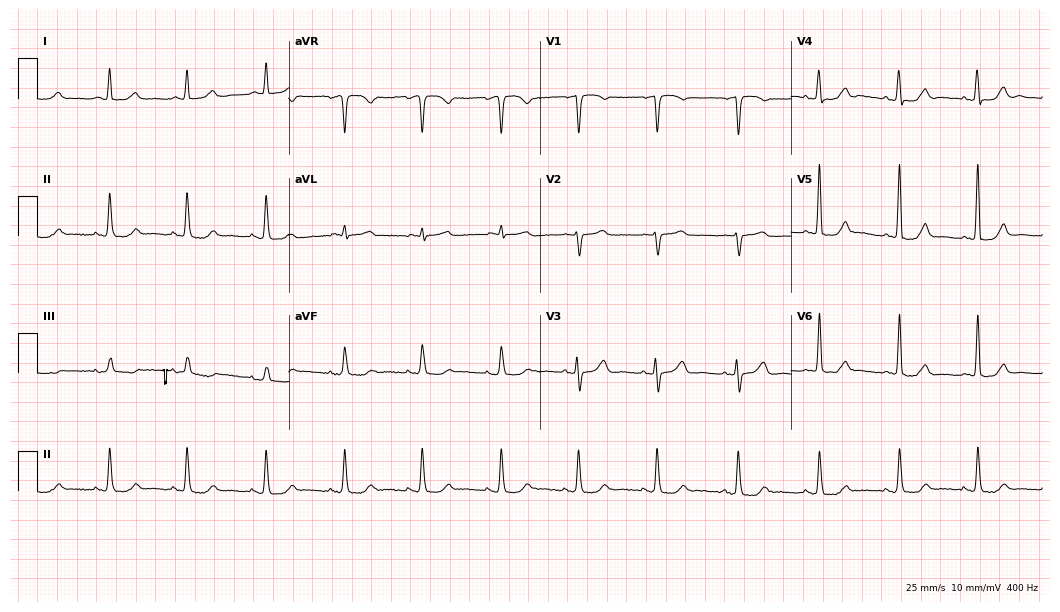
12-lead ECG (10.2-second recording at 400 Hz) from a 69-year-old female. Screened for six findings — first-degree AV block, right bundle branch block, left bundle branch block, sinus bradycardia, atrial fibrillation, sinus tachycardia — none is recorded. Findings outside these six are not listed.